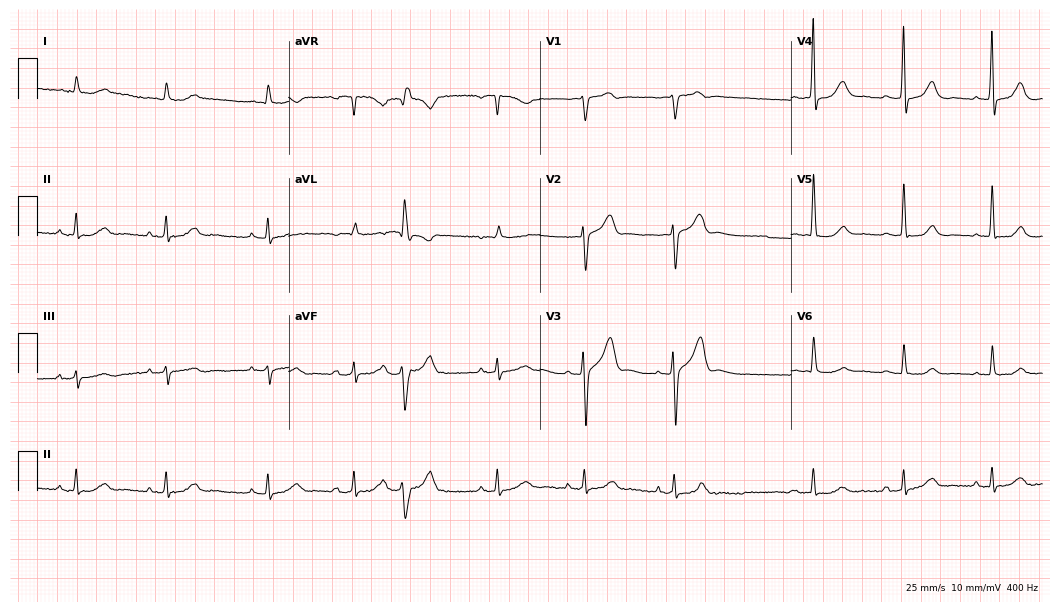
12-lead ECG from a male, 78 years old. Recorded interpretation: within normal limits.